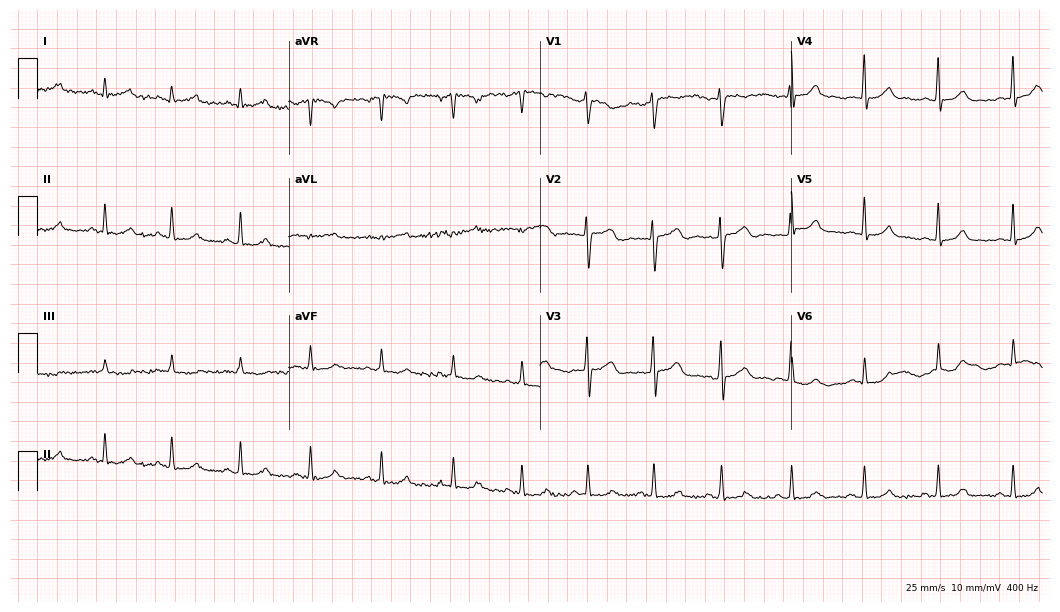
Standard 12-lead ECG recorded from a 22-year-old woman (10.2-second recording at 400 Hz). Read as a normal ECG.